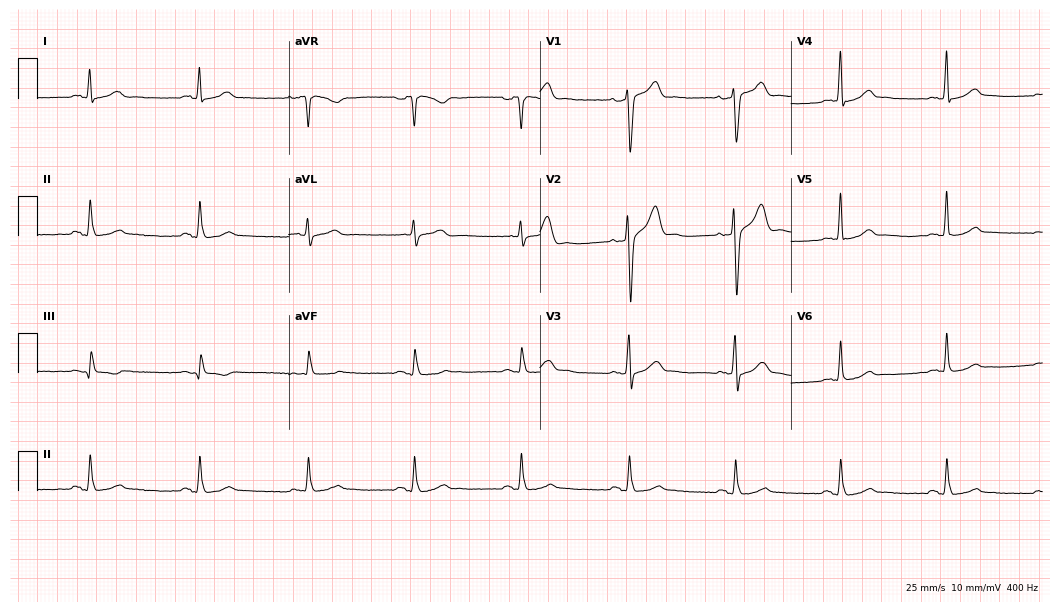
12-lead ECG from a 51-year-old man. Labelled as a normal ECG.